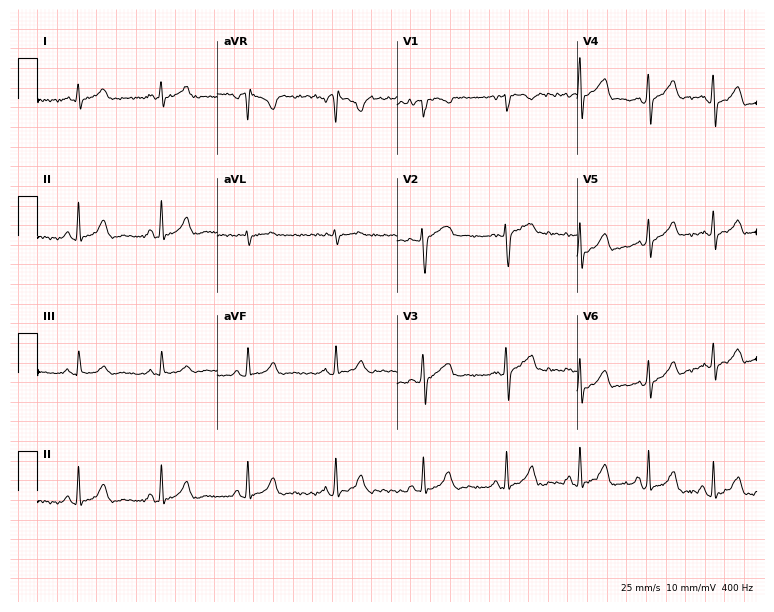
12-lead ECG from a female, 23 years old. Screened for six findings — first-degree AV block, right bundle branch block (RBBB), left bundle branch block (LBBB), sinus bradycardia, atrial fibrillation (AF), sinus tachycardia — none is recorded. Findings outside these six are not listed.